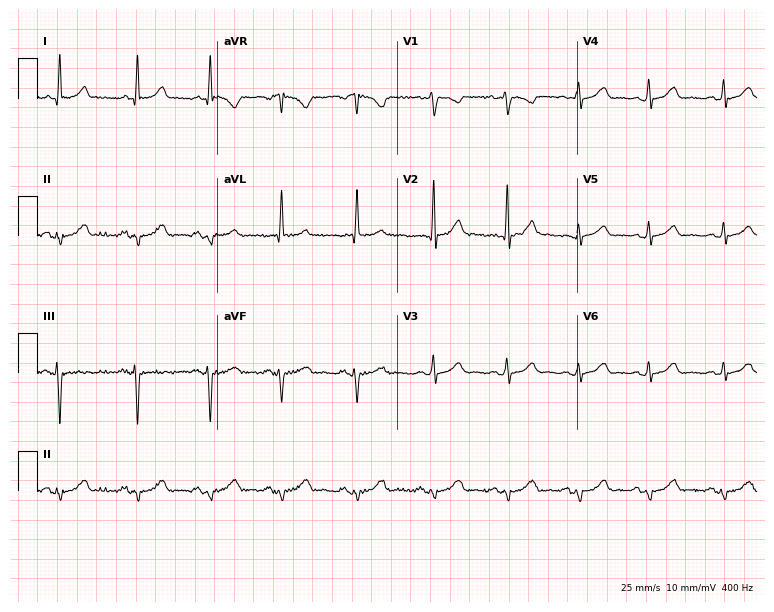
ECG — a 63-year-old female patient. Screened for six findings — first-degree AV block, right bundle branch block, left bundle branch block, sinus bradycardia, atrial fibrillation, sinus tachycardia — none is recorded.